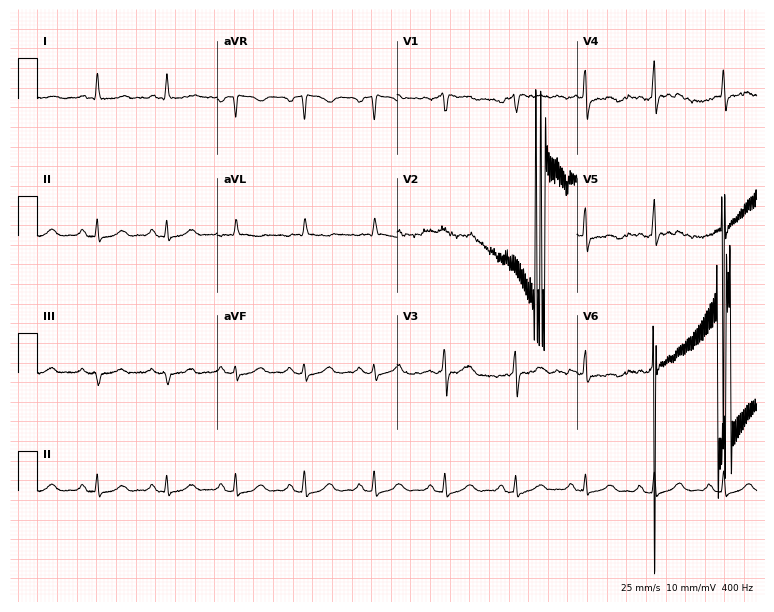
Resting 12-lead electrocardiogram. Patient: an 80-year-old male. None of these six findings is recorded: first-degree AV block, right bundle branch block, left bundle branch block, sinus bradycardia, atrial fibrillation, sinus tachycardia.